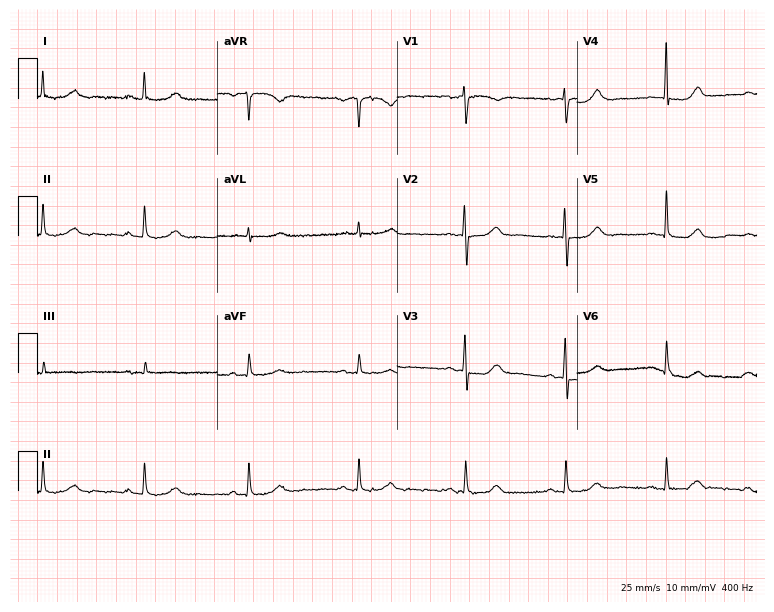
12-lead ECG (7.3-second recording at 400 Hz) from a 78-year-old female. Labelled as a normal ECG.